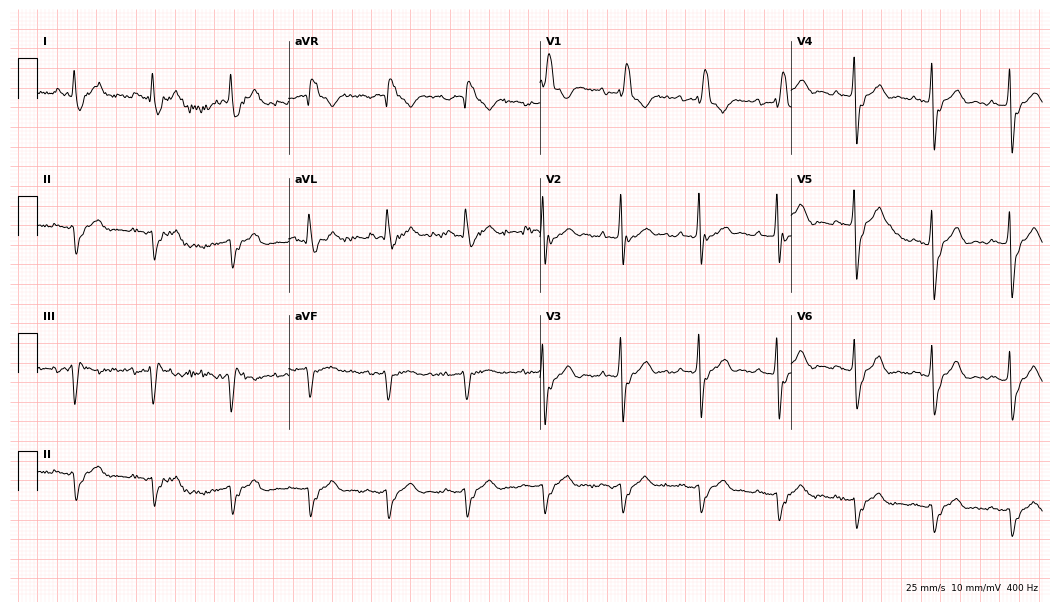
12-lead ECG from a 76-year-old male (10.2-second recording at 400 Hz). Shows right bundle branch block.